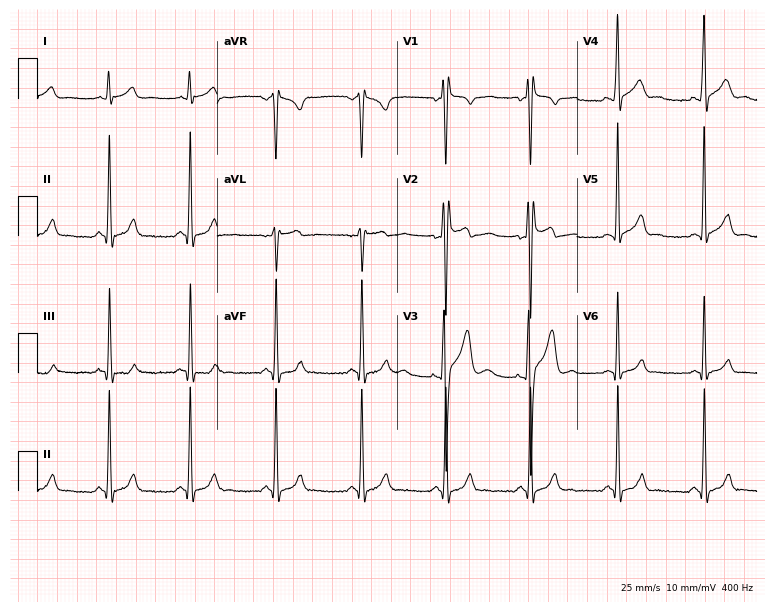
12-lead ECG from a male patient, 20 years old (7.3-second recording at 400 Hz). No first-degree AV block, right bundle branch block (RBBB), left bundle branch block (LBBB), sinus bradycardia, atrial fibrillation (AF) or sinus tachycardia recorded for this tracing. Other findings, if any, are not listed.